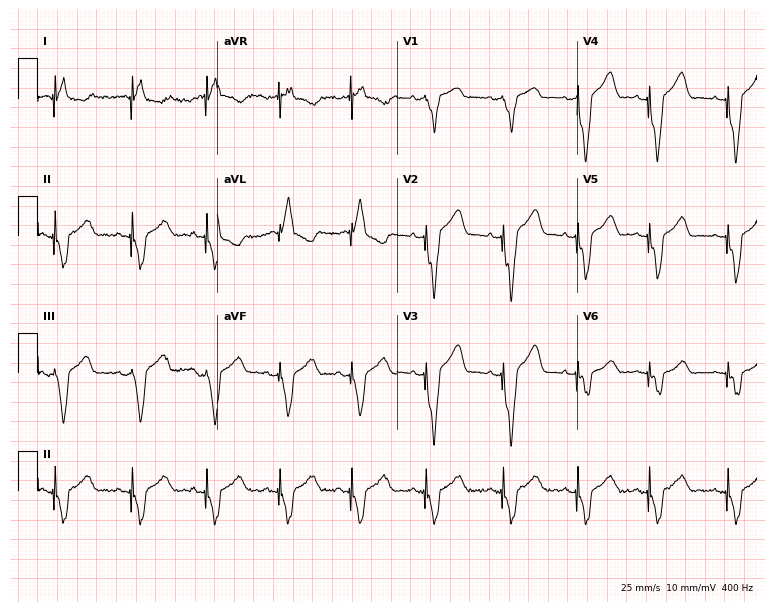
Electrocardiogram, a woman, 86 years old. Of the six screened findings (first-degree AV block, right bundle branch block (RBBB), left bundle branch block (LBBB), sinus bradycardia, atrial fibrillation (AF), sinus tachycardia), none is recorded. Only these six findings were labelled.